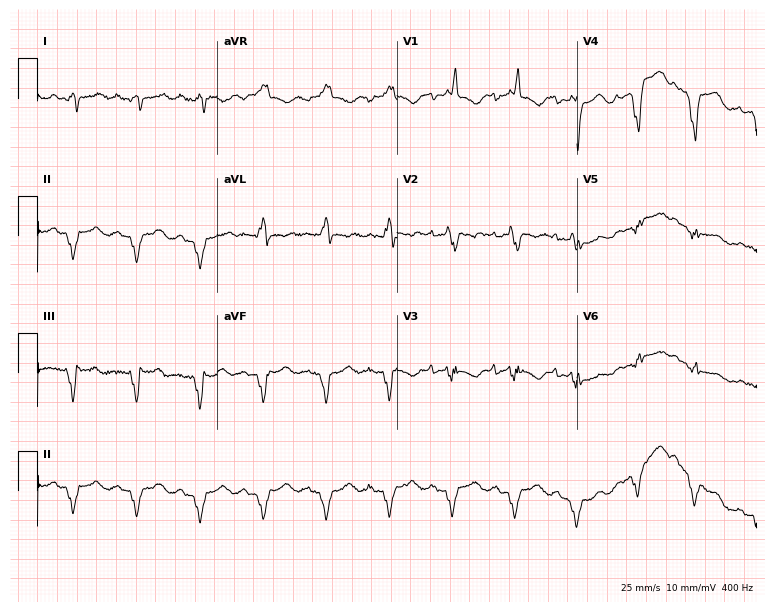
12-lead ECG from a 38-year-old male. Shows right bundle branch block (RBBB).